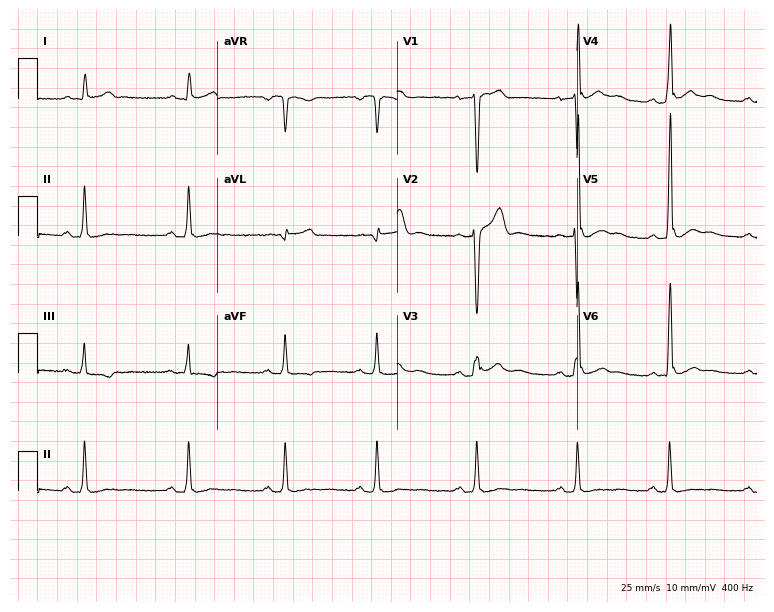
Electrocardiogram, a man, 24 years old. Of the six screened findings (first-degree AV block, right bundle branch block, left bundle branch block, sinus bradycardia, atrial fibrillation, sinus tachycardia), none is recorded. Only these six findings were labelled.